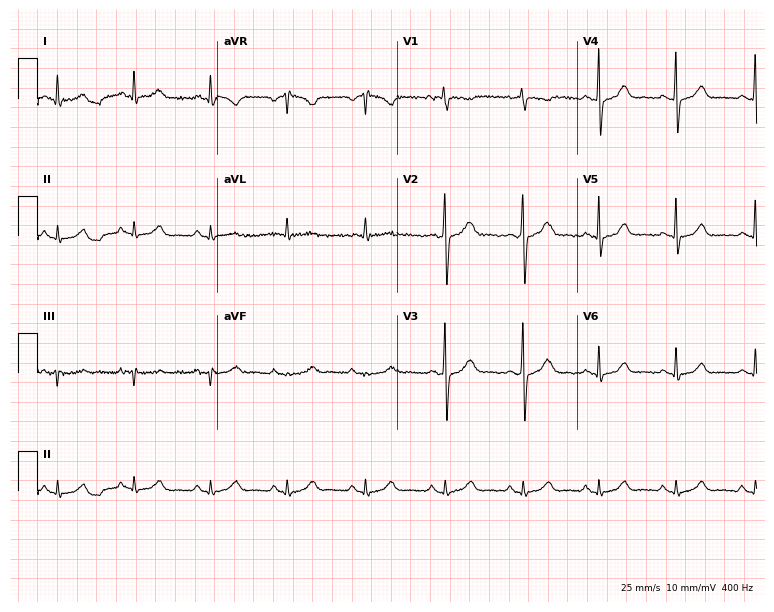
ECG (7.3-second recording at 400 Hz) — a 39-year-old woman. Screened for six findings — first-degree AV block, right bundle branch block (RBBB), left bundle branch block (LBBB), sinus bradycardia, atrial fibrillation (AF), sinus tachycardia — none is recorded.